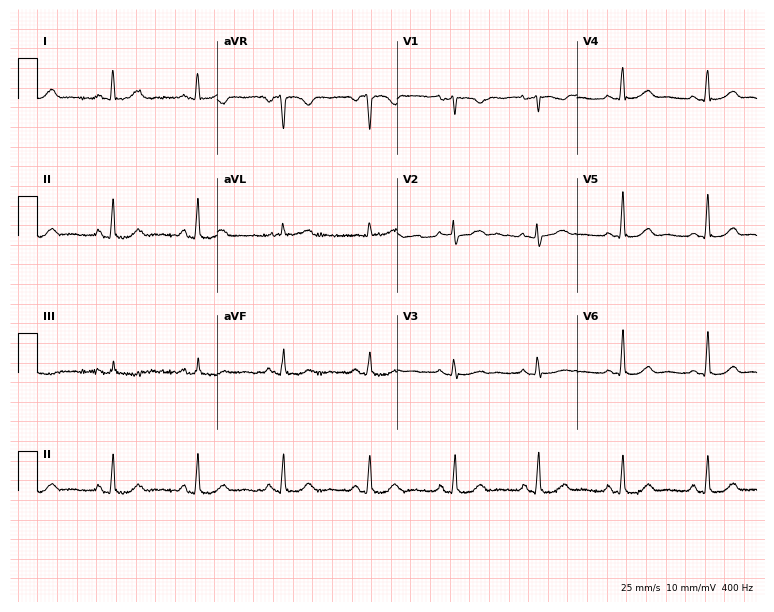
12-lead ECG from a female patient, 82 years old (7.3-second recording at 400 Hz). No first-degree AV block, right bundle branch block, left bundle branch block, sinus bradycardia, atrial fibrillation or sinus tachycardia recorded for this tracing. Only these six findings were labelled.